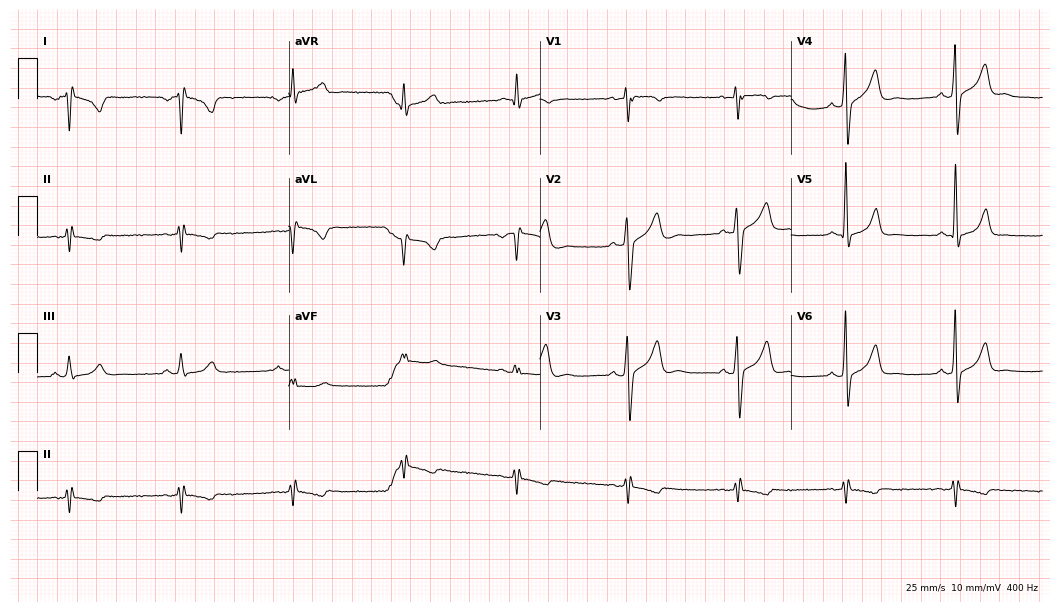
ECG — a man, 42 years old. Screened for six findings — first-degree AV block, right bundle branch block, left bundle branch block, sinus bradycardia, atrial fibrillation, sinus tachycardia — none is recorded.